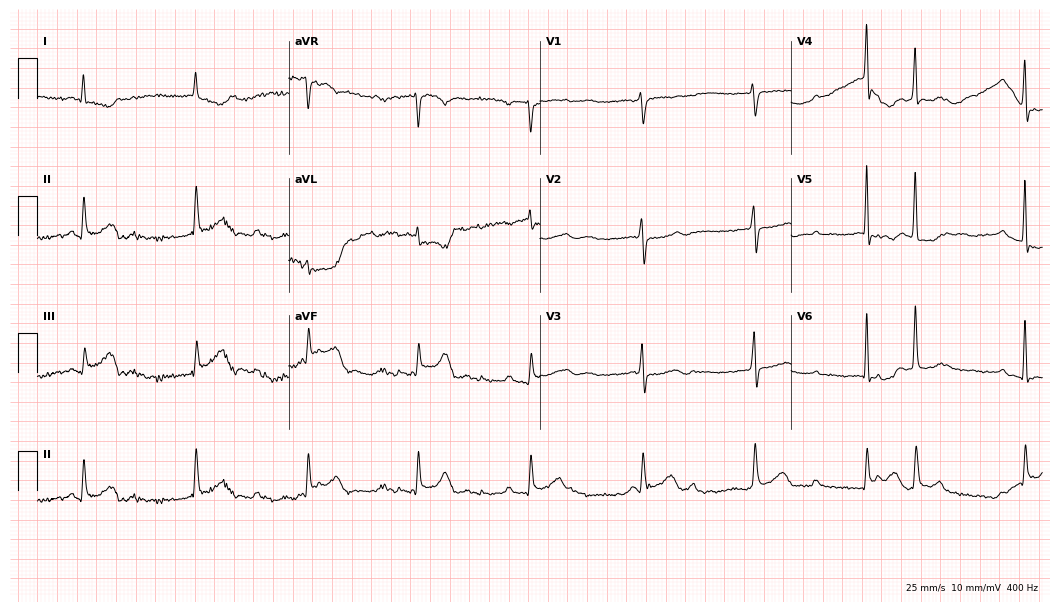
Electrocardiogram, a 65-year-old female. Of the six screened findings (first-degree AV block, right bundle branch block (RBBB), left bundle branch block (LBBB), sinus bradycardia, atrial fibrillation (AF), sinus tachycardia), none is recorded. Only these six findings were labelled.